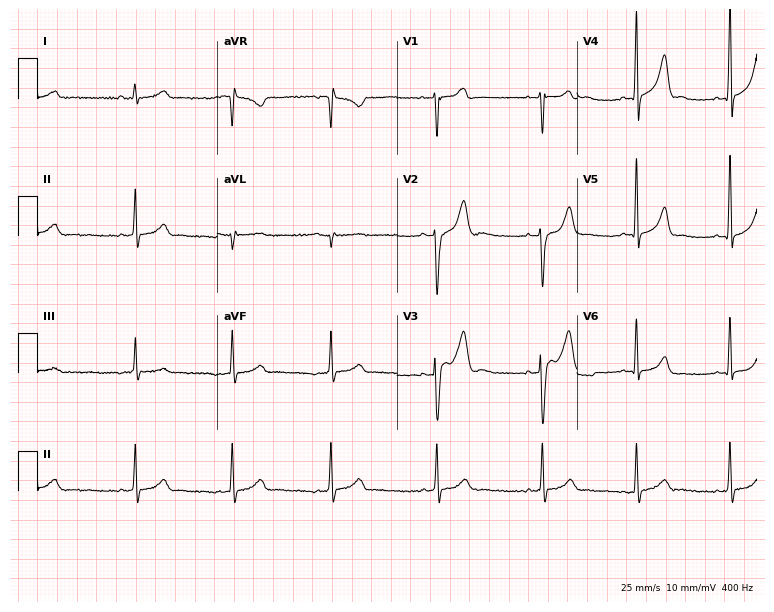
Standard 12-lead ECG recorded from a man, 17 years old. Read as a normal ECG.